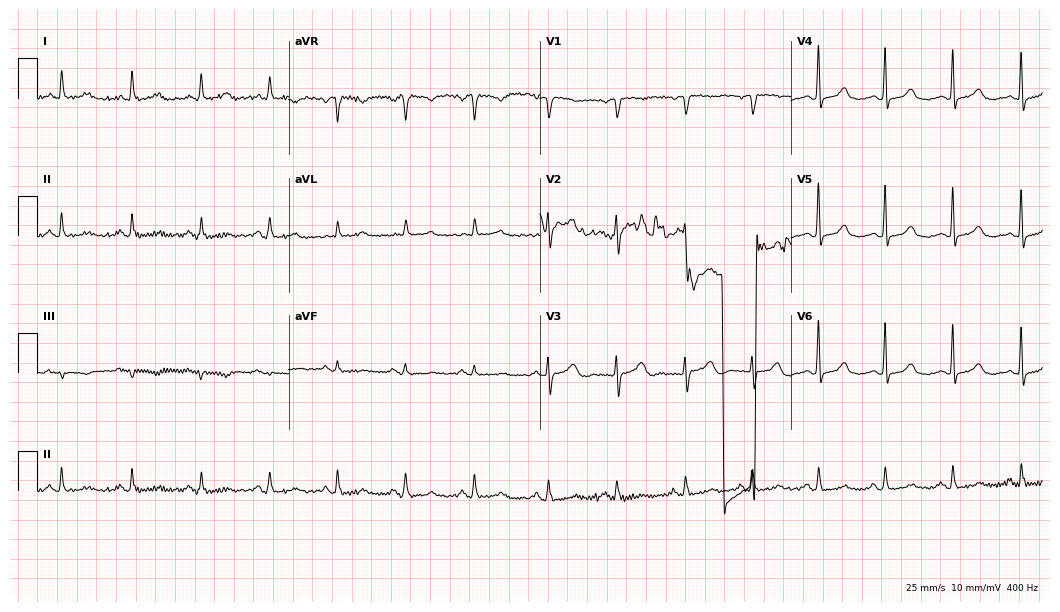
ECG (10.2-second recording at 400 Hz) — a 75-year-old woman. Screened for six findings — first-degree AV block, right bundle branch block, left bundle branch block, sinus bradycardia, atrial fibrillation, sinus tachycardia — none is recorded.